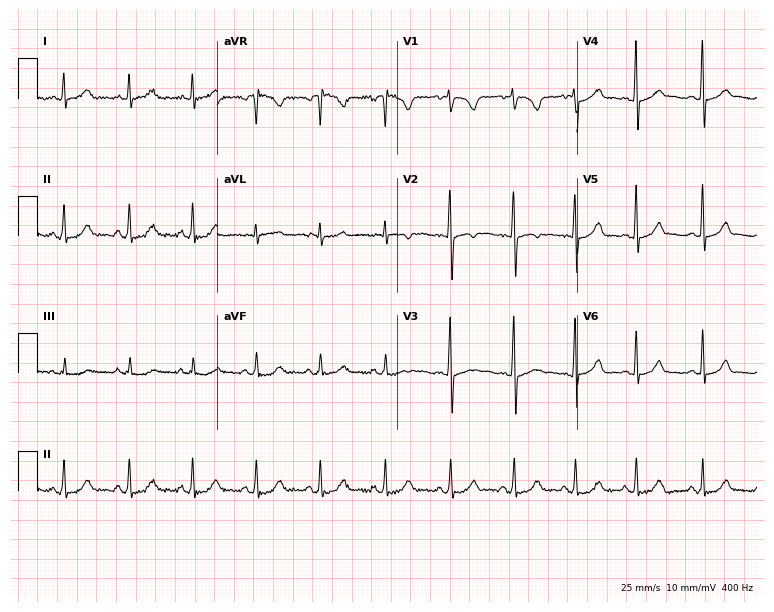
Resting 12-lead electrocardiogram. Patient: a woman, 28 years old. Read as a normal ECG.